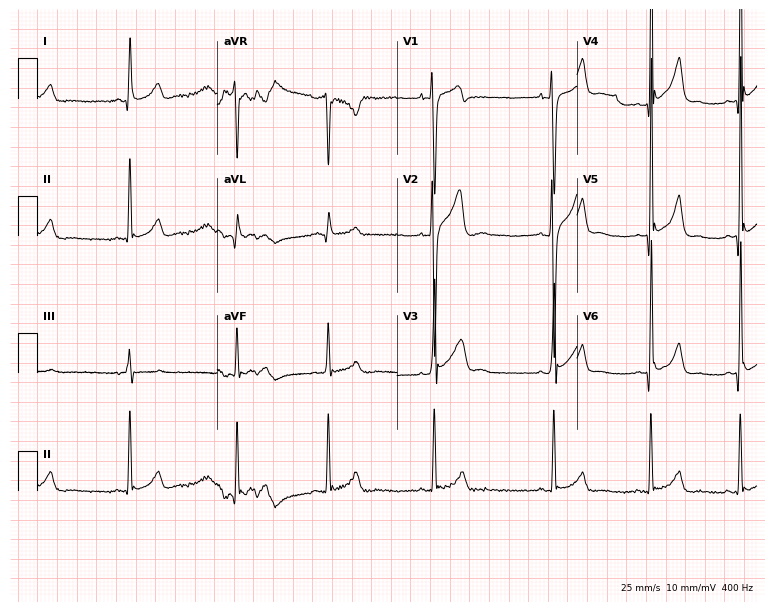
ECG — a 21-year-old male. Screened for six findings — first-degree AV block, right bundle branch block, left bundle branch block, sinus bradycardia, atrial fibrillation, sinus tachycardia — none is recorded. Only these six findings were labelled.